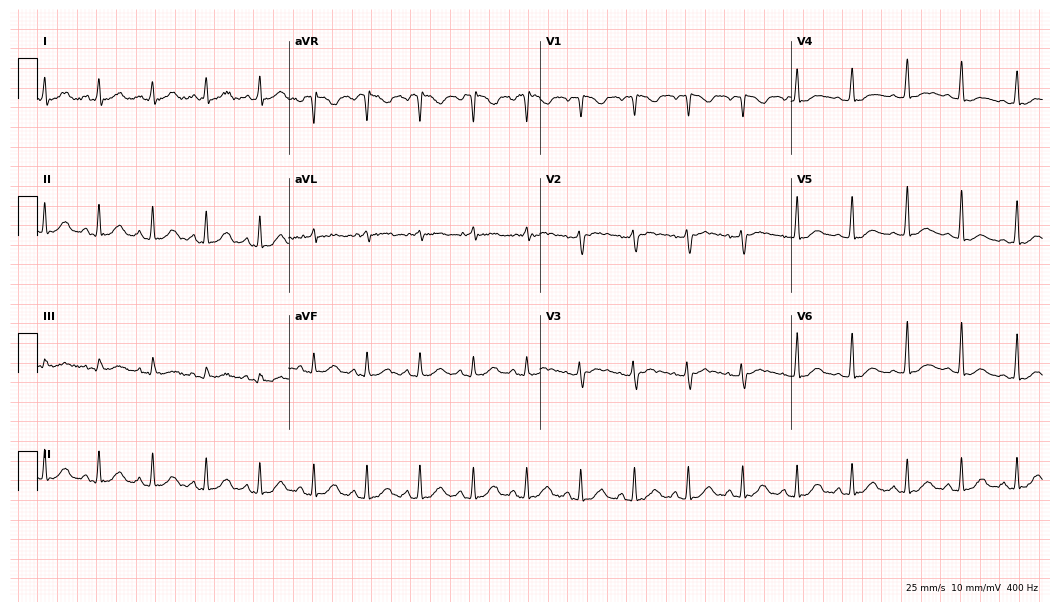
12-lead ECG (10.2-second recording at 400 Hz) from a 19-year-old woman. Findings include sinus tachycardia (a sinus rate of 100 beats per minute or more).